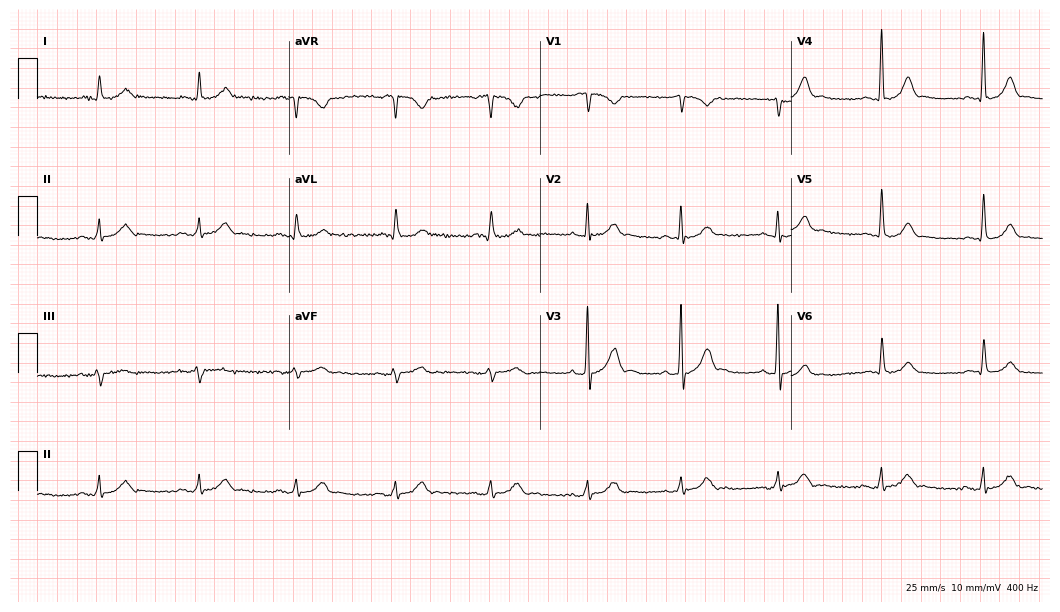
Electrocardiogram, an 80-year-old male patient. Of the six screened findings (first-degree AV block, right bundle branch block (RBBB), left bundle branch block (LBBB), sinus bradycardia, atrial fibrillation (AF), sinus tachycardia), none is recorded. Findings outside these six are not listed.